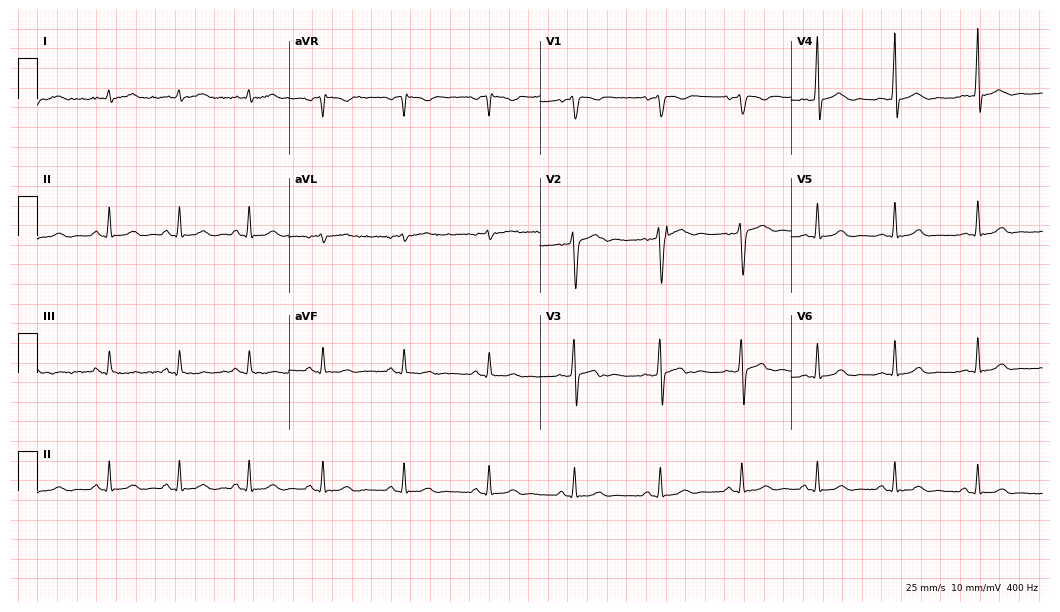
Electrocardiogram (10.2-second recording at 400 Hz), a 25-year-old male patient. Overall reading on record: normal ECG.